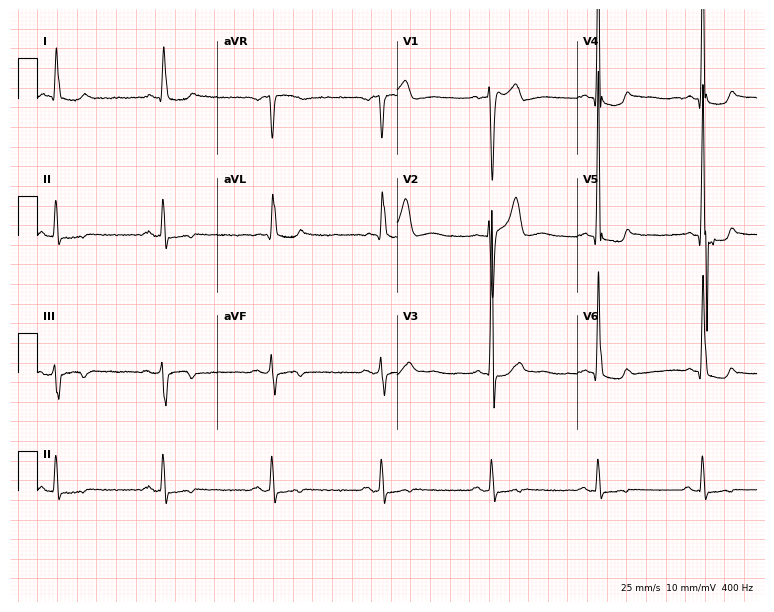
12-lead ECG from a man, 73 years old (7.3-second recording at 400 Hz). No first-degree AV block, right bundle branch block, left bundle branch block, sinus bradycardia, atrial fibrillation or sinus tachycardia recorded for this tracing.